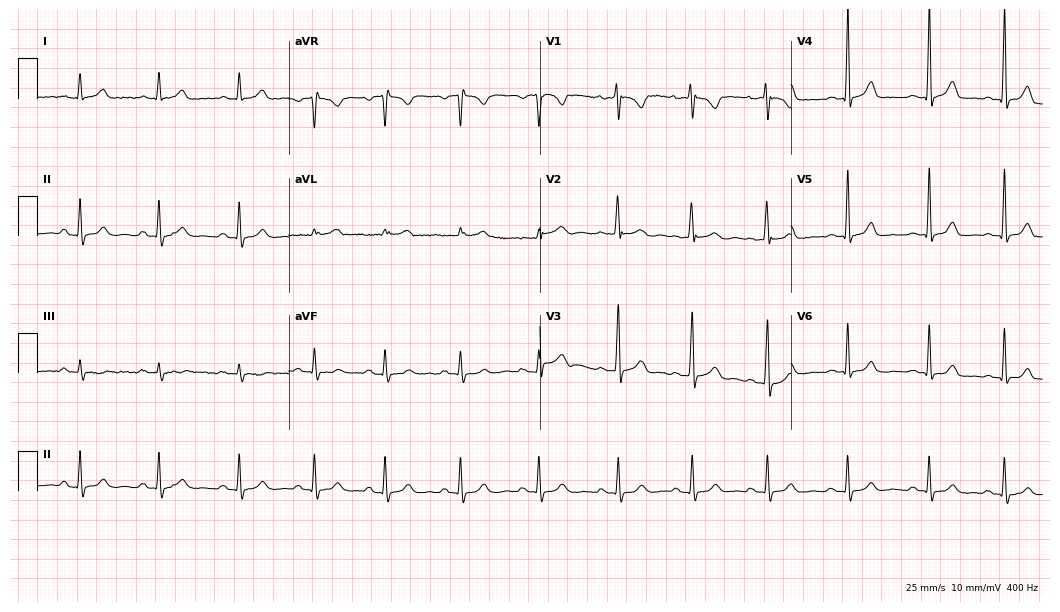
Electrocardiogram (10.2-second recording at 400 Hz), a woman, 28 years old. Overall reading on record: normal ECG.